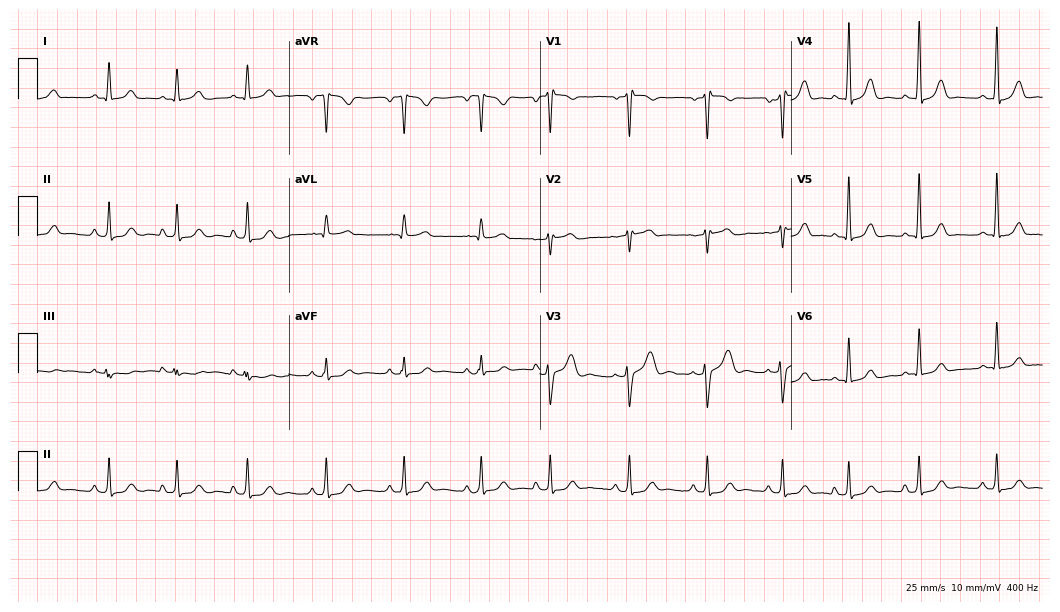
Resting 12-lead electrocardiogram. Patient: a 27-year-old woman. Read as a normal ECG.